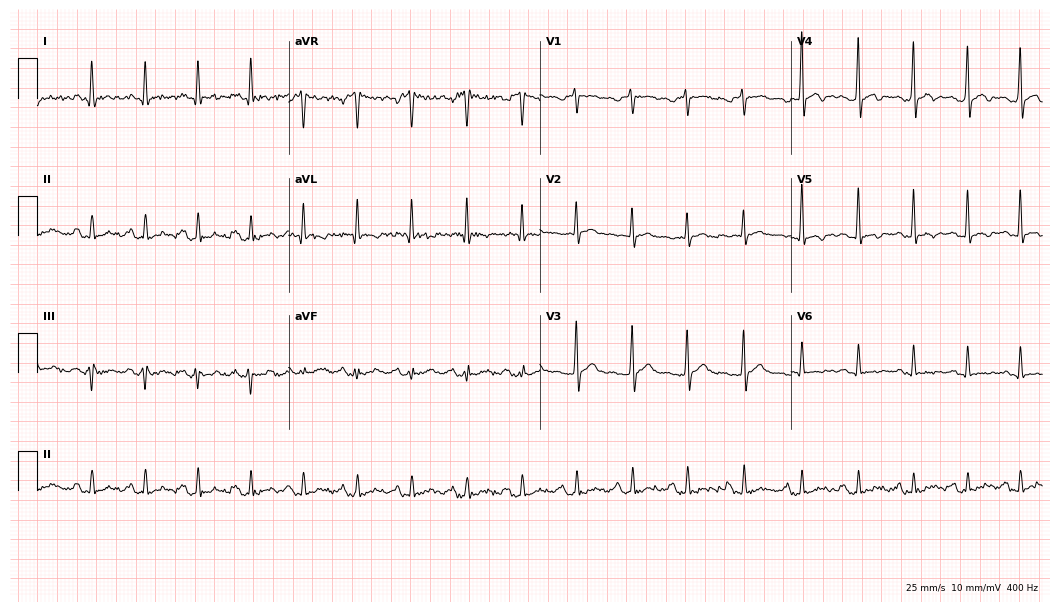
12-lead ECG from a male patient, 44 years old. Findings include sinus tachycardia (a sinus rate of 100 beats per minute or more).